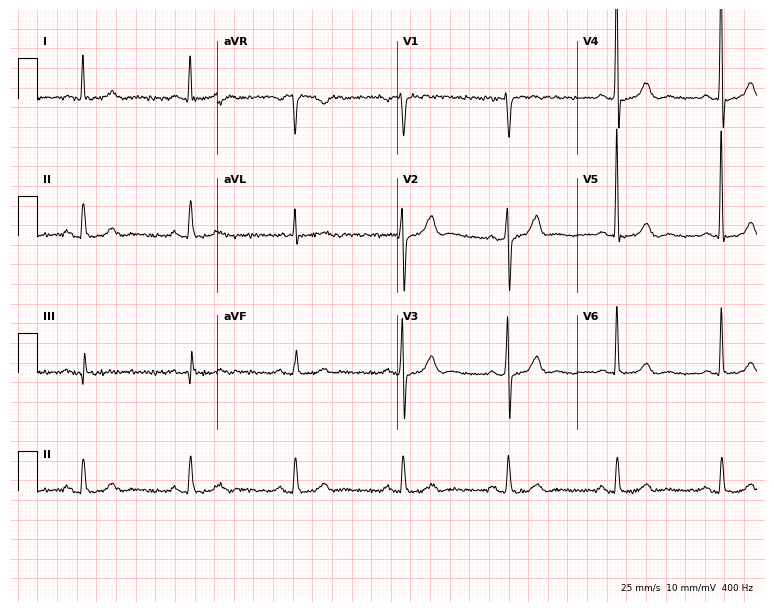
12-lead ECG from a male patient, 74 years old (7.3-second recording at 400 Hz). No first-degree AV block, right bundle branch block, left bundle branch block, sinus bradycardia, atrial fibrillation or sinus tachycardia recorded for this tracing. Other findings, if any, are not listed.